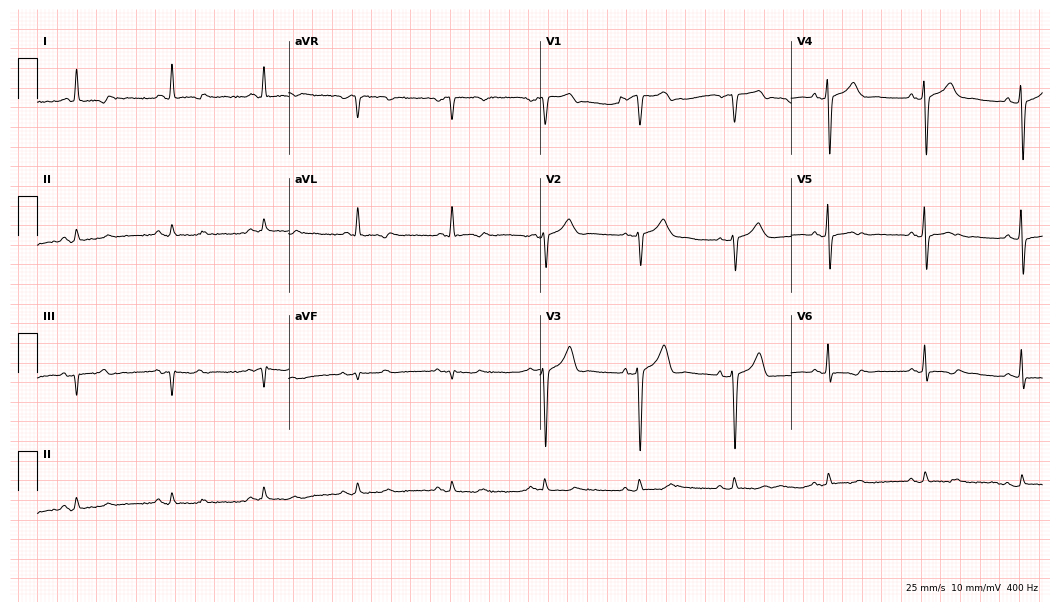
Standard 12-lead ECG recorded from a man, 66 years old (10.2-second recording at 400 Hz). None of these six findings is recorded: first-degree AV block, right bundle branch block, left bundle branch block, sinus bradycardia, atrial fibrillation, sinus tachycardia. Only these six findings were labelled.